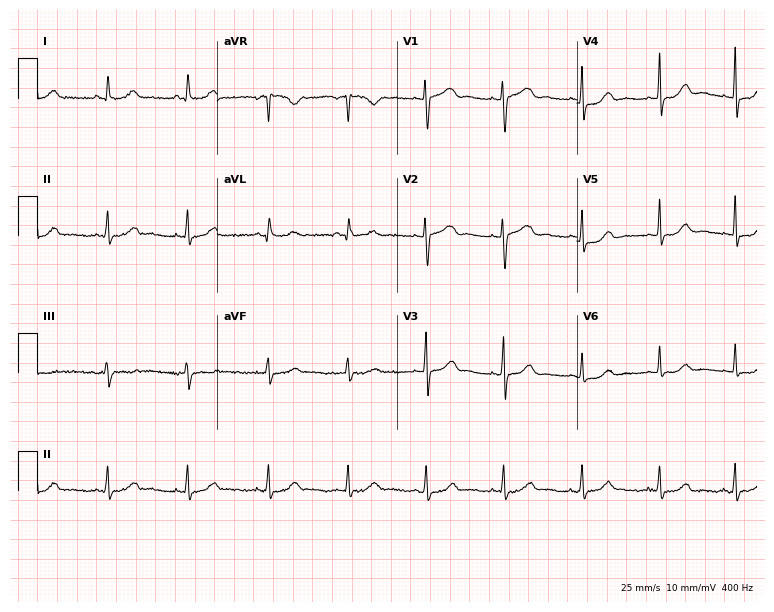
Standard 12-lead ECG recorded from a female, 42 years old. Read as a normal ECG.